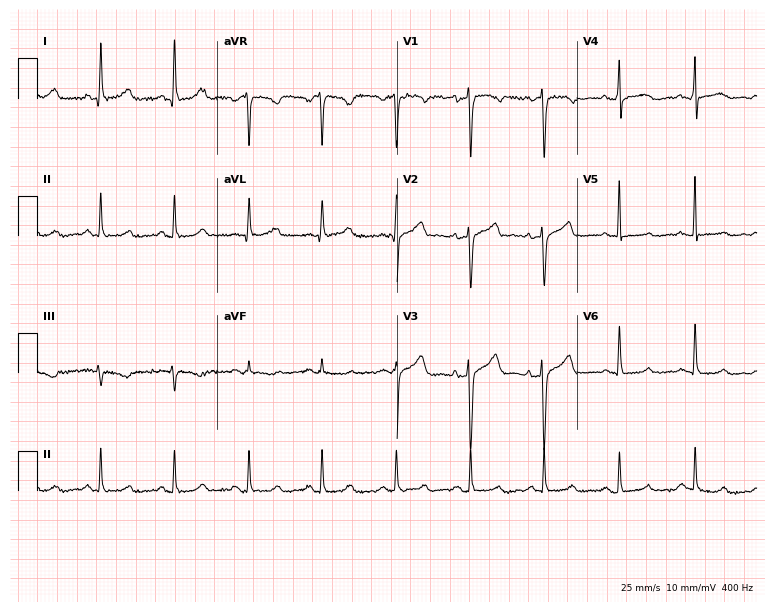
Resting 12-lead electrocardiogram. Patient: a female, 49 years old. Read as a normal ECG.